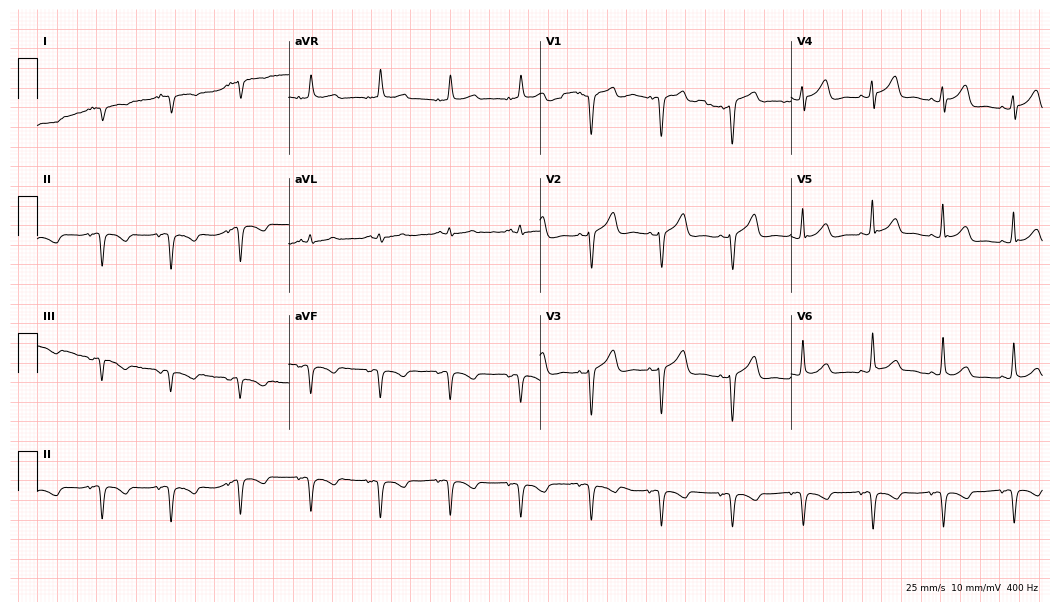
Resting 12-lead electrocardiogram (10.2-second recording at 400 Hz). Patient: a 65-year-old female. None of these six findings is recorded: first-degree AV block, right bundle branch block, left bundle branch block, sinus bradycardia, atrial fibrillation, sinus tachycardia.